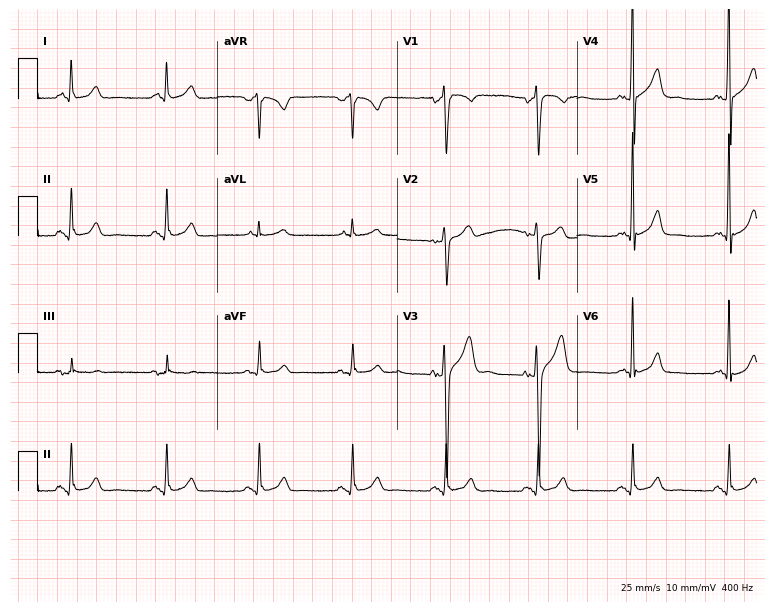
Resting 12-lead electrocardiogram (7.3-second recording at 400 Hz). Patient: a 47-year-old male. None of these six findings is recorded: first-degree AV block, right bundle branch block (RBBB), left bundle branch block (LBBB), sinus bradycardia, atrial fibrillation (AF), sinus tachycardia.